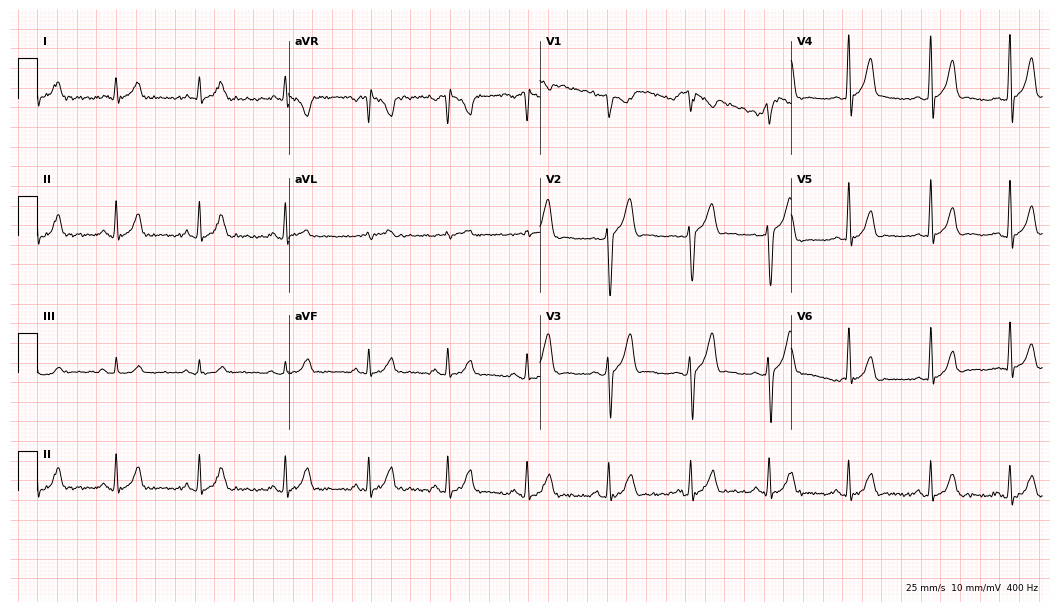
Resting 12-lead electrocardiogram (10.2-second recording at 400 Hz). Patient: a male, 37 years old. Read as a normal ECG.